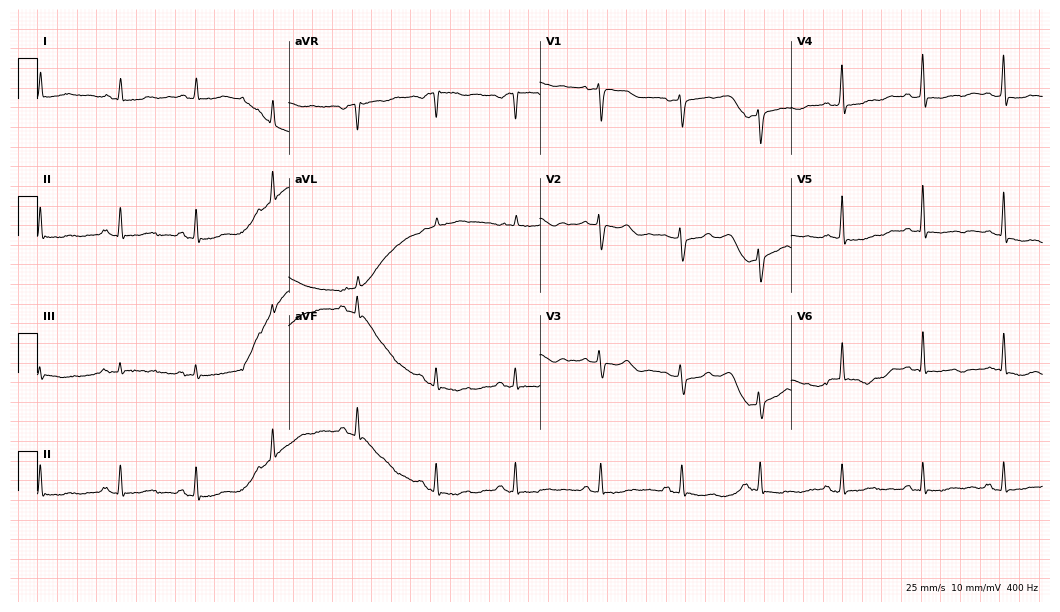
Standard 12-lead ECG recorded from a female patient, 60 years old. None of these six findings is recorded: first-degree AV block, right bundle branch block (RBBB), left bundle branch block (LBBB), sinus bradycardia, atrial fibrillation (AF), sinus tachycardia. Only these six findings were labelled.